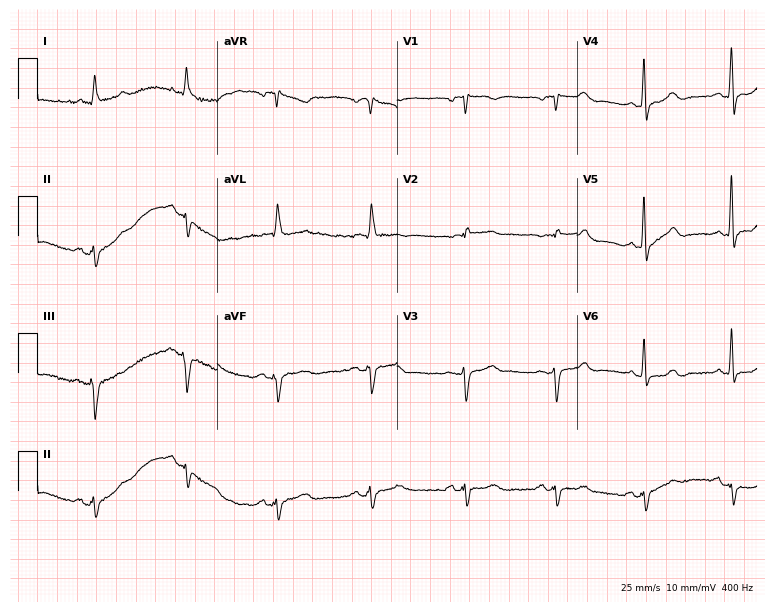
12-lead ECG (7.3-second recording at 400 Hz) from a 79-year-old woman. Screened for six findings — first-degree AV block, right bundle branch block, left bundle branch block, sinus bradycardia, atrial fibrillation, sinus tachycardia — none is recorded. Findings outside these six are not listed.